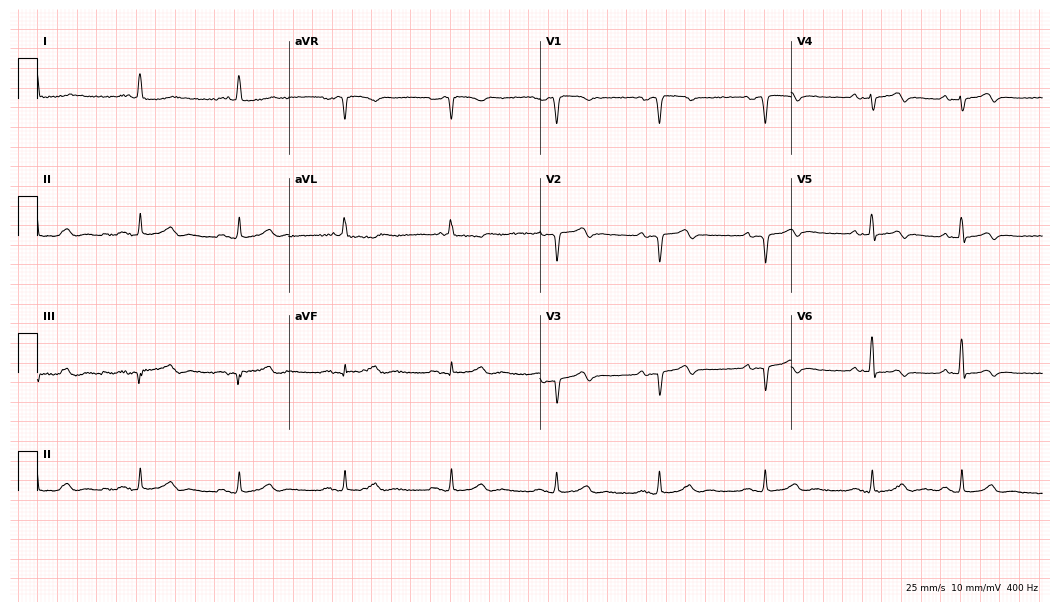
12-lead ECG from a male, 79 years old (10.2-second recording at 400 Hz). No first-degree AV block, right bundle branch block, left bundle branch block, sinus bradycardia, atrial fibrillation or sinus tachycardia recorded for this tracing.